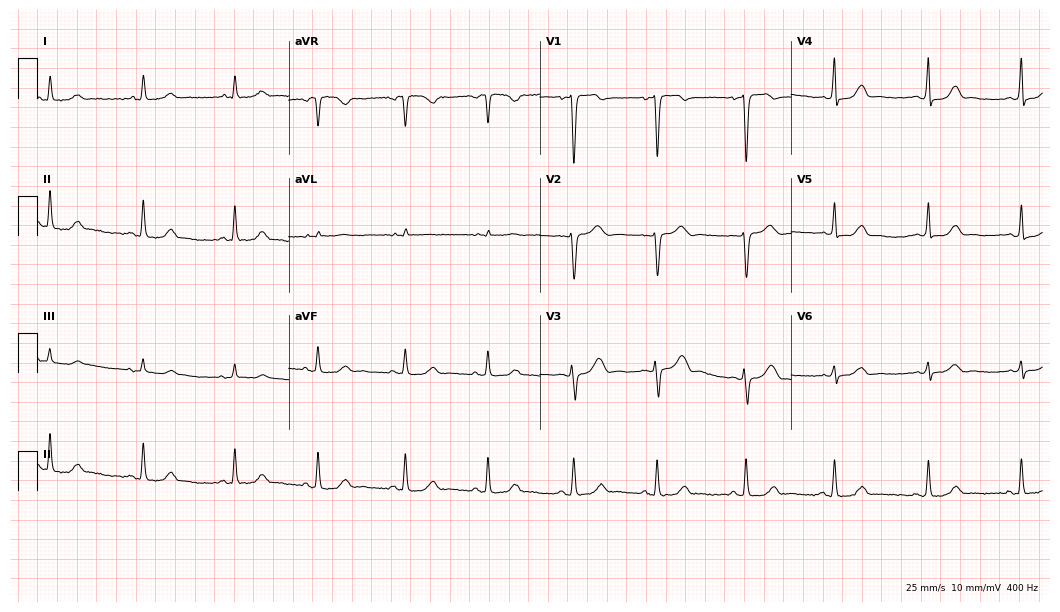
12-lead ECG from a woman, 27 years old. No first-degree AV block, right bundle branch block, left bundle branch block, sinus bradycardia, atrial fibrillation or sinus tachycardia recorded for this tracing.